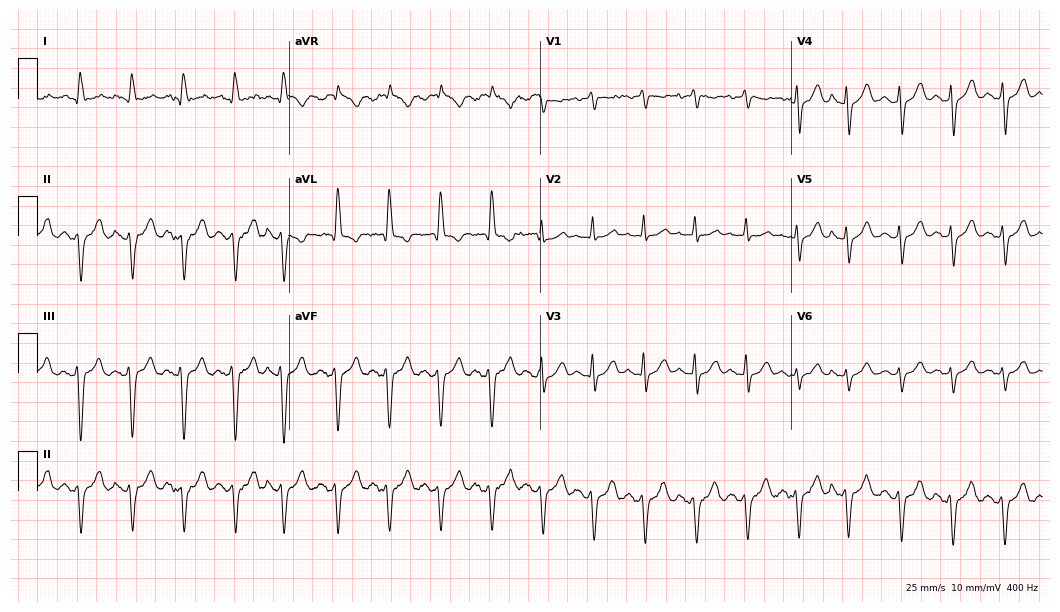
12-lead ECG from a 69-year-old male patient (10.2-second recording at 400 Hz). Shows sinus tachycardia (a sinus rate of 100 beats per minute or more).